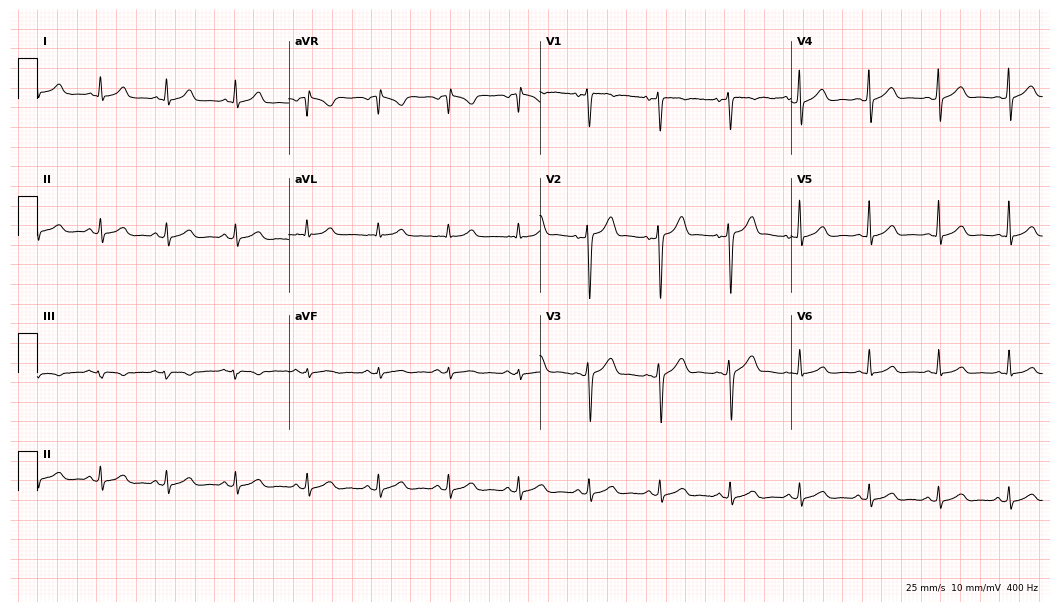
Resting 12-lead electrocardiogram. Patient: a woman, 36 years old. Read as a normal ECG.